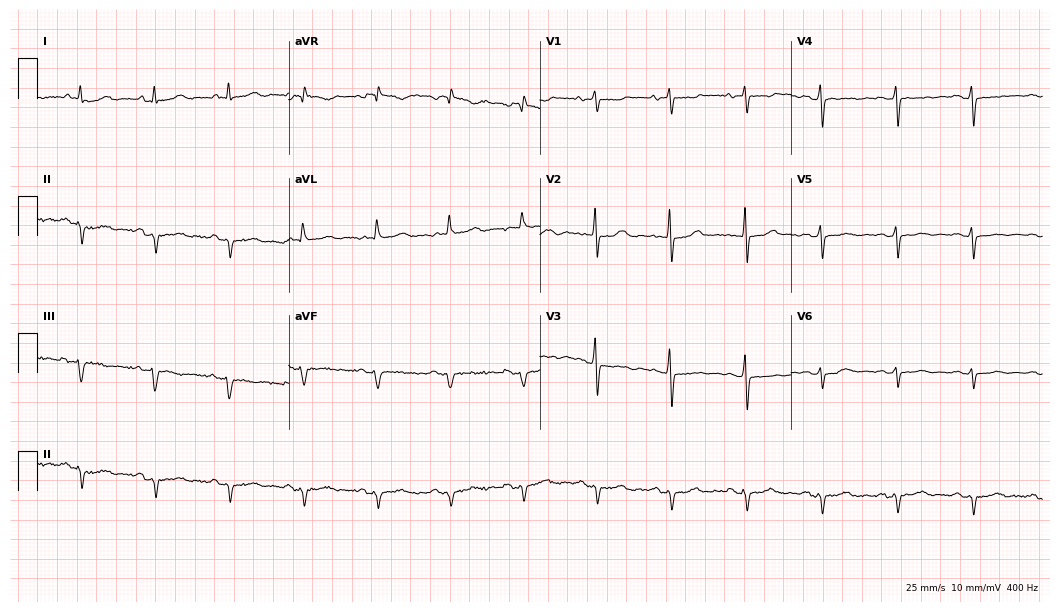
12-lead ECG from a 65-year-old female (10.2-second recording at 400 Hz). No first-degree AV block, right bundle branch block, left bundle branch block, sinus bradycardia, atrial fibrillation or sinus tachycardia recorded for this tracing.